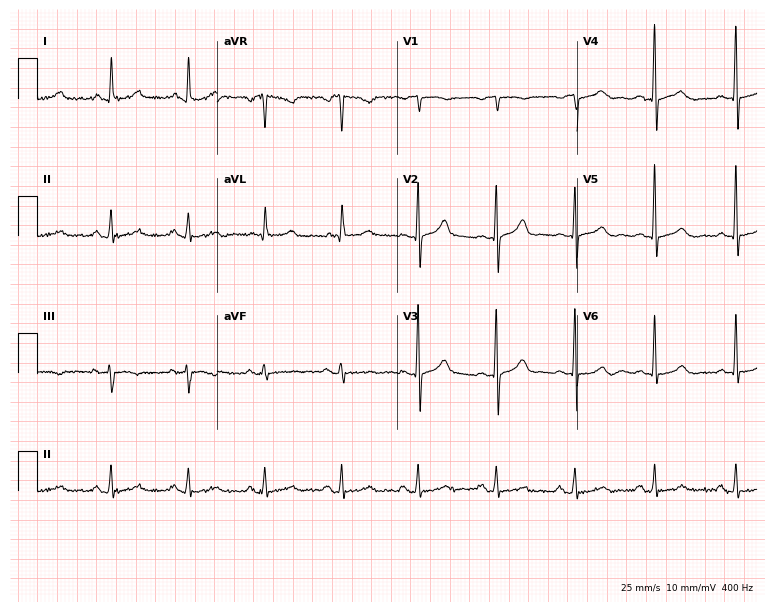
ECG (7.3-second recording at 400 Hz) — a male, 55 years old. Labelled as a normal ECG.